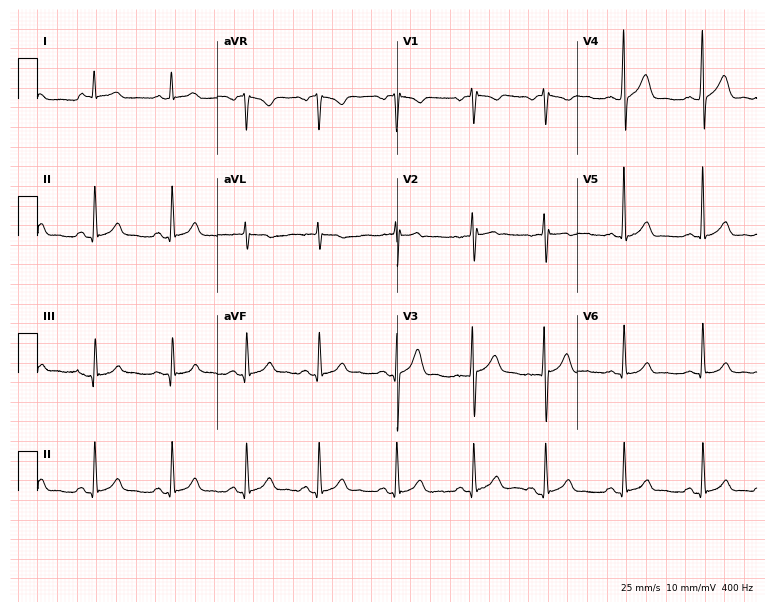
ECG — a 35-year-old man. Labelled as a normal ECG.